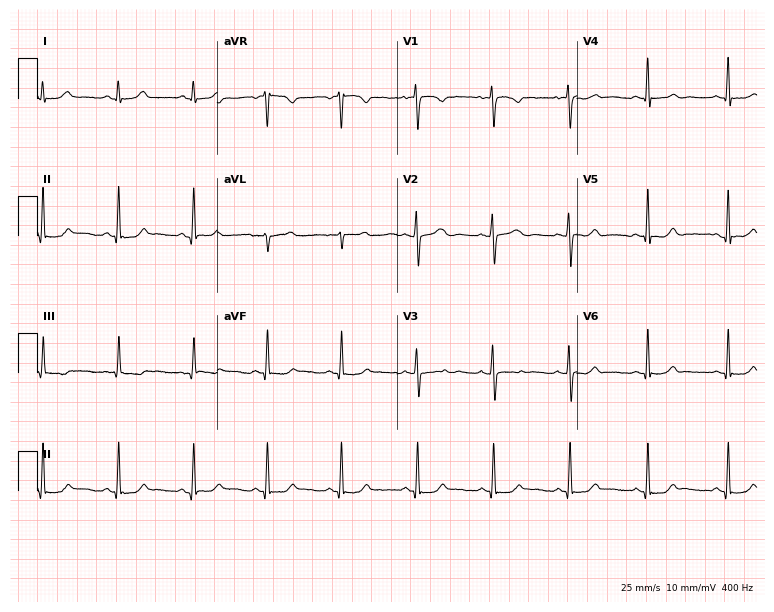
Standard 12-lead ECG recorded from a 29-year-old woman (7.3-second recording at 400 Hz). Read as a normal ECG.